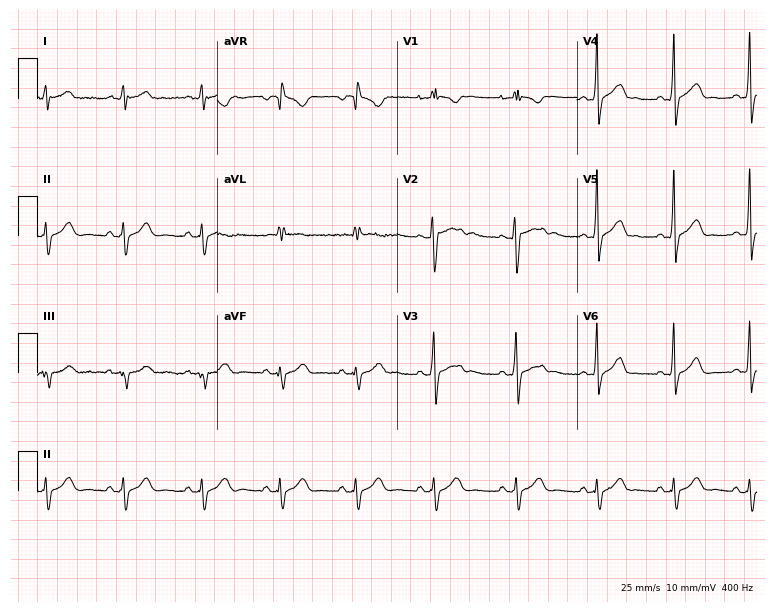
12-lead ECG (7.3-second recording at 400 Hz) from a 20-year-old man. Labelled as a normal ECG.